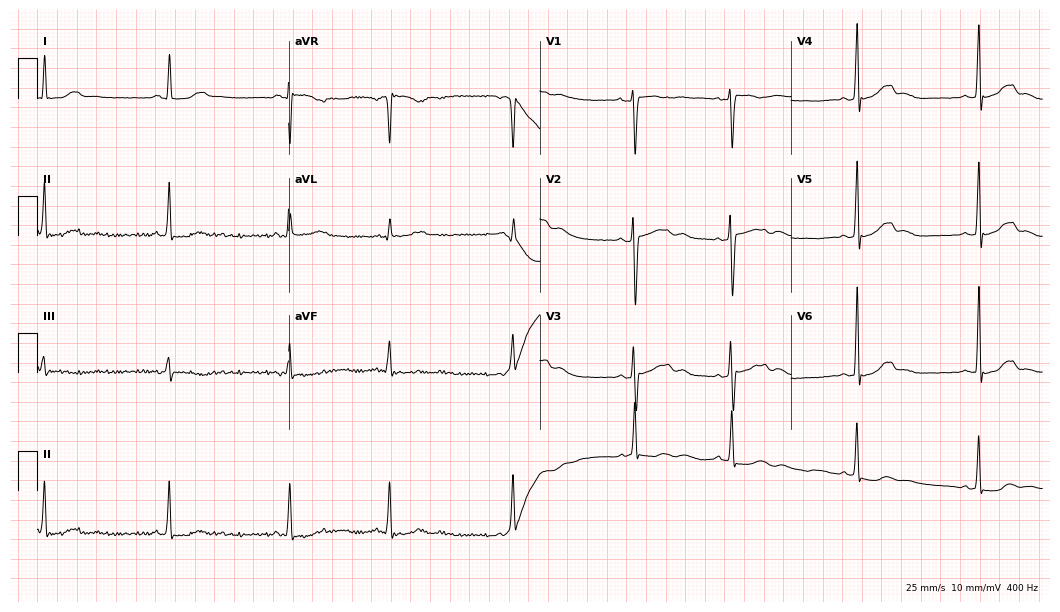
Electrocardiogram, a 21-year-old female patient. Interpretation includes sinus bradycardia (a sinus rate of 50 beats per minute or less).